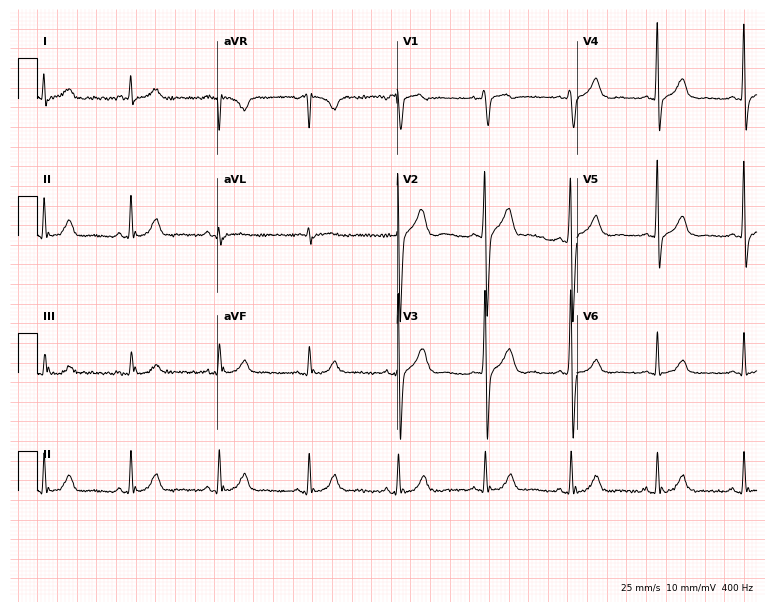
Standard 12-lead ECG recorded from a 40-year-old male (7.3-second recording at 400 Hz). Read as a normal ECG.